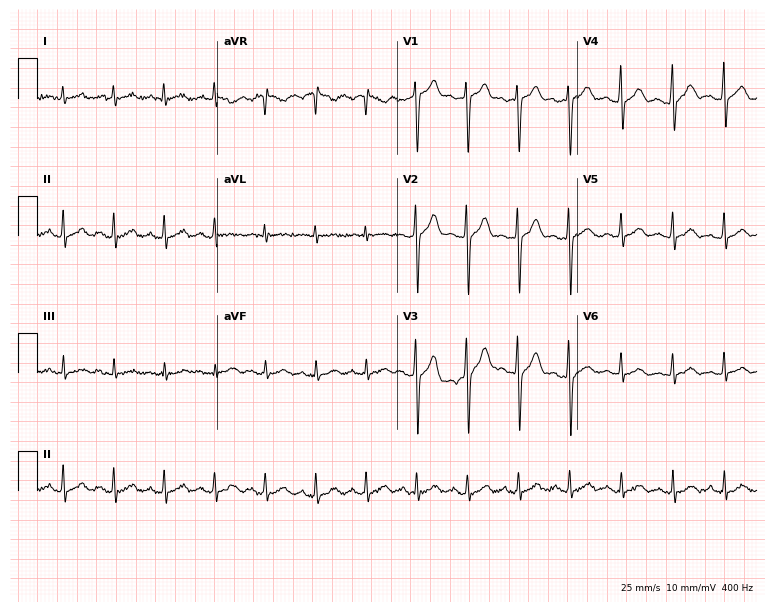
Resting 12-lead electrocardiogram (7.3-second recording at 400 Hz). Patient: a man, 39 years old. The tracing shows sinus tachycardia (a sinus rate of 100 beats per minute or more).